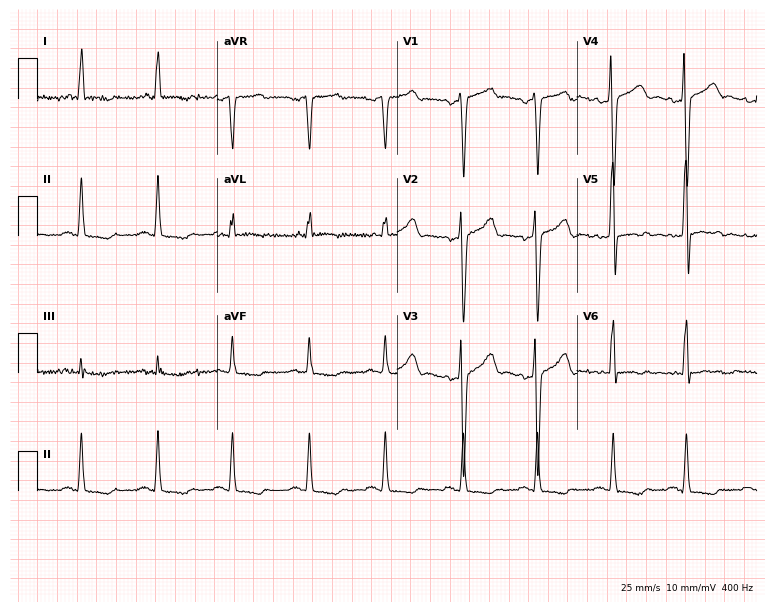
Electrocardiogram (7.3-second recording at 400 Hz), a 50-year-old male. Of the six screened findings (first-degree AV block, right bundle branch block, left bundle branch block, sinus bradycardia, atrial fibrillation, sinus tachycardia), none is recorded.